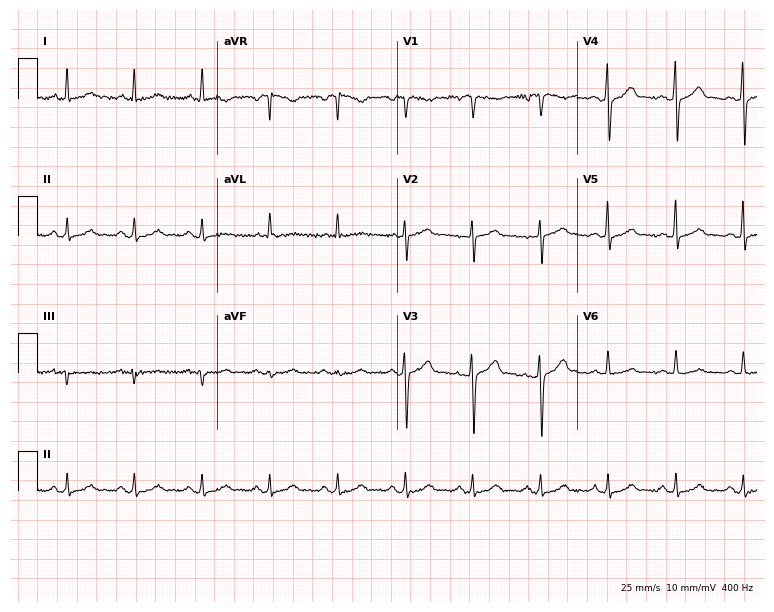
12-lead ECG from a man, 62 years old (7.3-second recording at 400 Hz). Recorded interpretation: within normal limits.